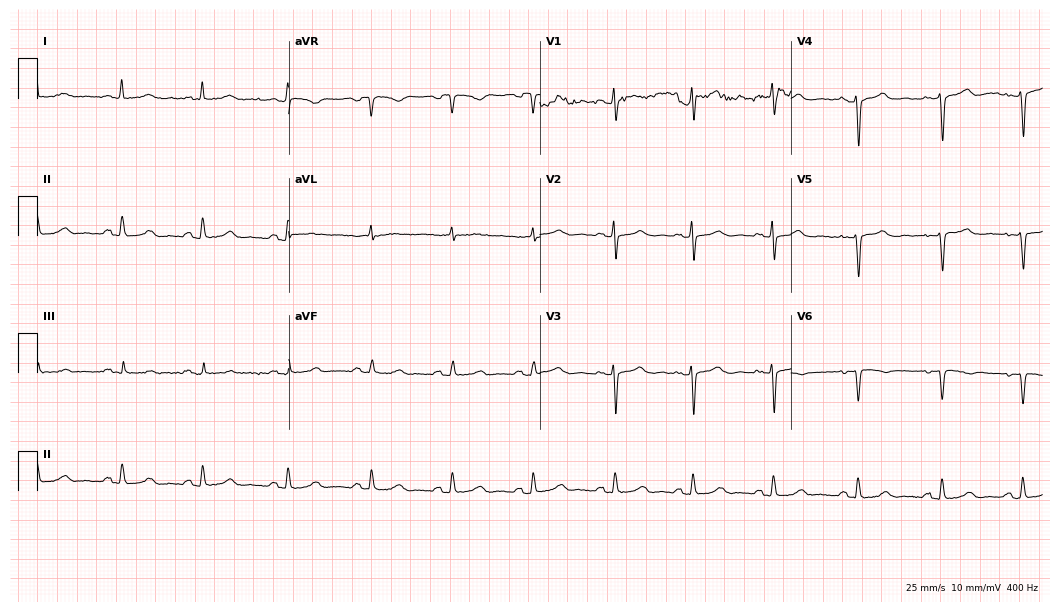
Resting 12-lead electrocardiogram. Patient: a 47-year-old female. None of these six findings is recorded: first-degree AV block, right bundle branch block, left bundle branch block, sinus bradycardia, atrial fibrillation, sinus tachycardia. Other findings, if any, are not listed.